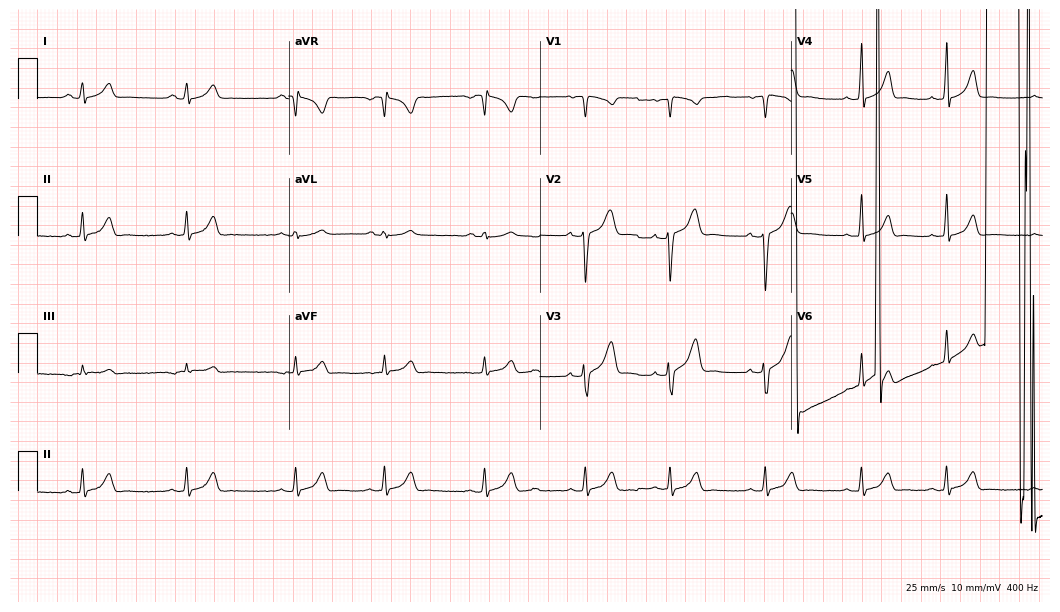
Electrocardiogram (10.2-second recording at 400 Hz), a male, 19 years old. Of the six screened findings (first-degree AV block, right bundle branch block (RBBB), left bundle branch block (LBBB), sinus bradycardia, atrial fibrillation (AF), sinus tachycardia), none is recorded. Other findings, if any, are not listed.